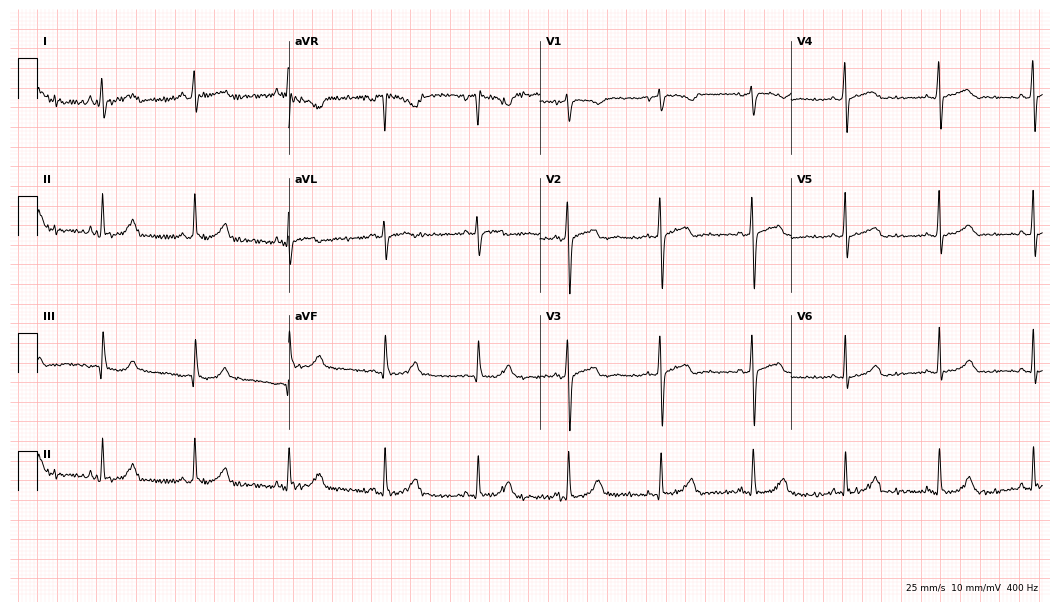
Resting 12-lead electrocardiogram (10.2-second recording at 400 Hz). Patient: a 31-year-old woman. None of these six findings is recorded: first-degree AV block, right bundle branch block (RBBB), left bundle branch block (LBBB), sinus bradycardia, atrial fibrillation (AF), sinus tachycardia.